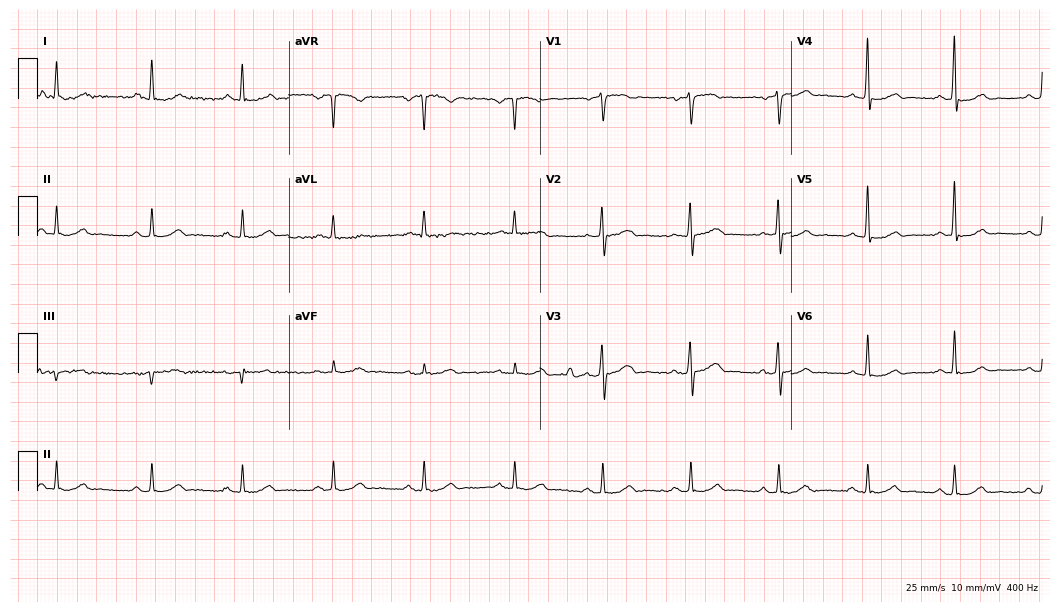
12-lead ECG (10.2-second recording at 400 Hz) from a 63-year-old man. Labelled as a normal ECG.